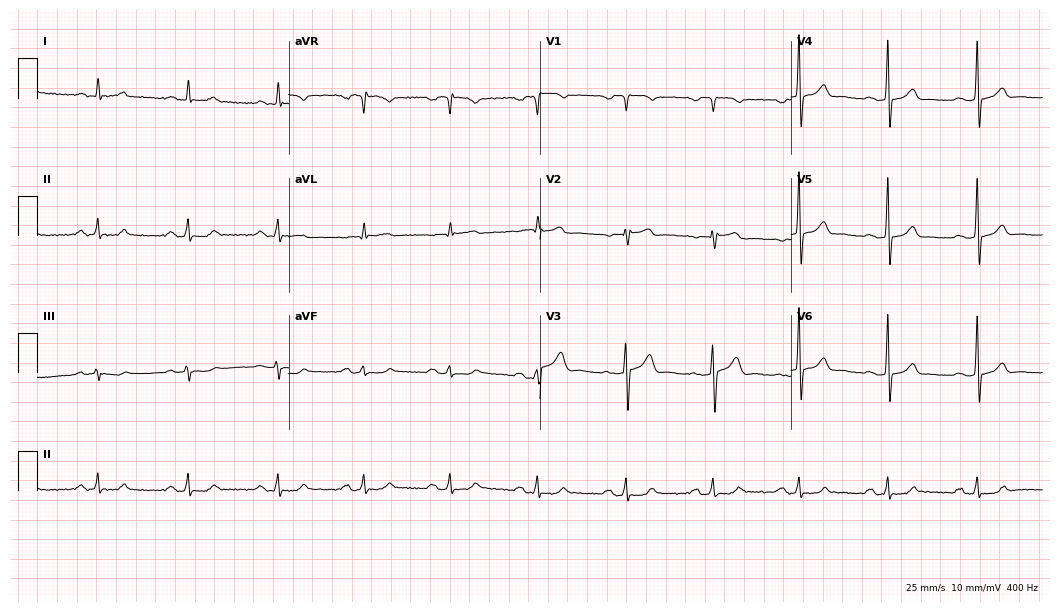
Standard 12-lead ECG recorded from a 68-year-old male patient (10.2-second recording at 400 Hz). Read as a normal ECG.